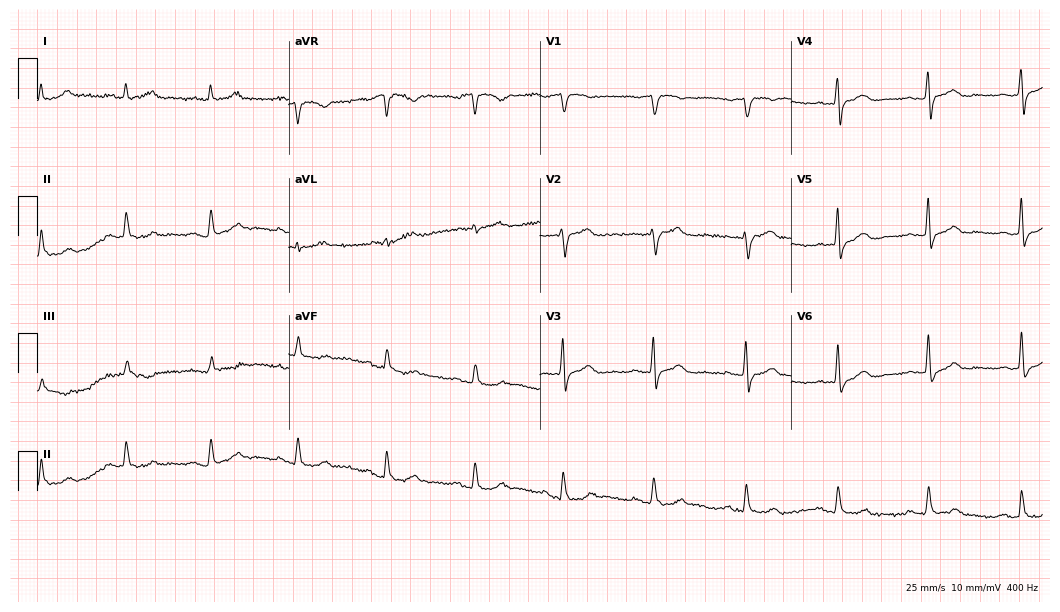
12-lead ECG from a female, 47 years old. Screened for six findings — first-degree AV block, right bundle branch block (RBBB), left bundle branch block (LBBB), sinus bradycardia, atrial fibrillation (AF), sinus tachycardia — none is recorded. Findings outside these six are not listed.